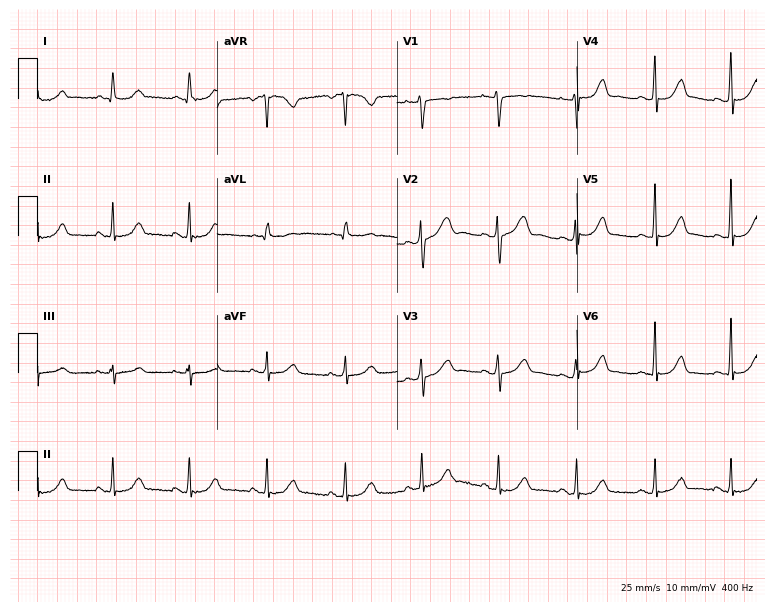
Resting 12-lead electrocardiogram (7.3-second recording at 400 Hz). Patient: a female, 19 years old. Read as a normal ECG.